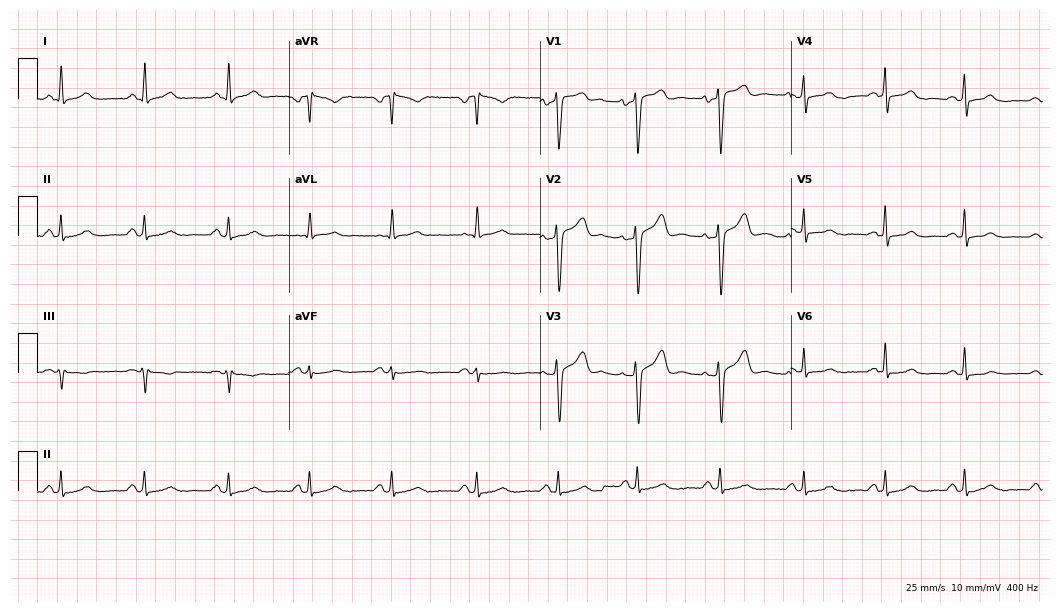
Standard 12-lead ECG recorded from a female, 47 years old (10.2-second recording at 400 Hz). Read as a normal ECG.